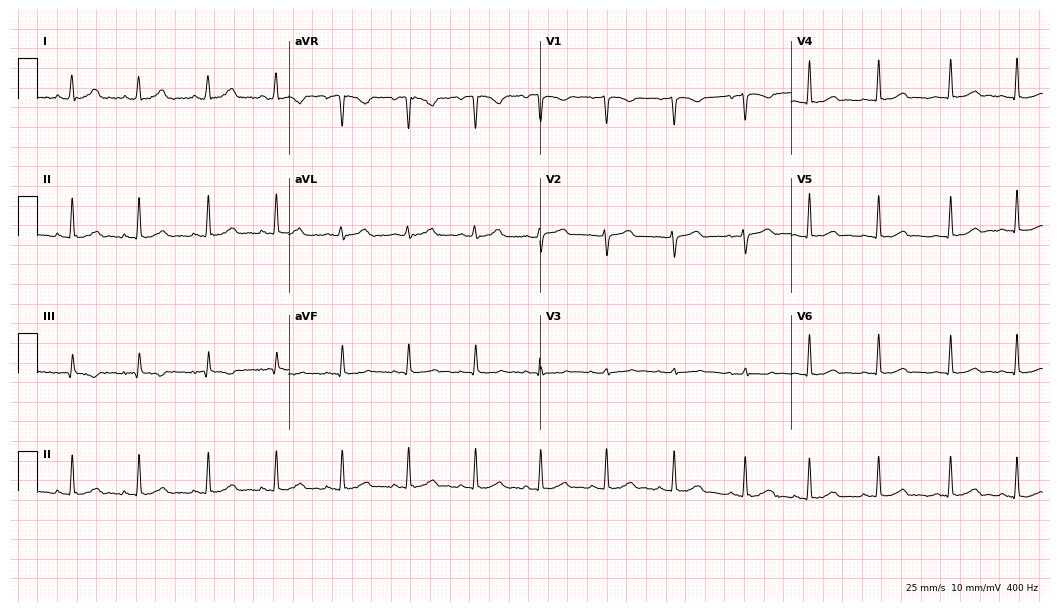
Resting 12-lead electrocardiogram (10.2-second recording at 400 Hz). Patient: a female, 22 years old. Read as a normal ECG.